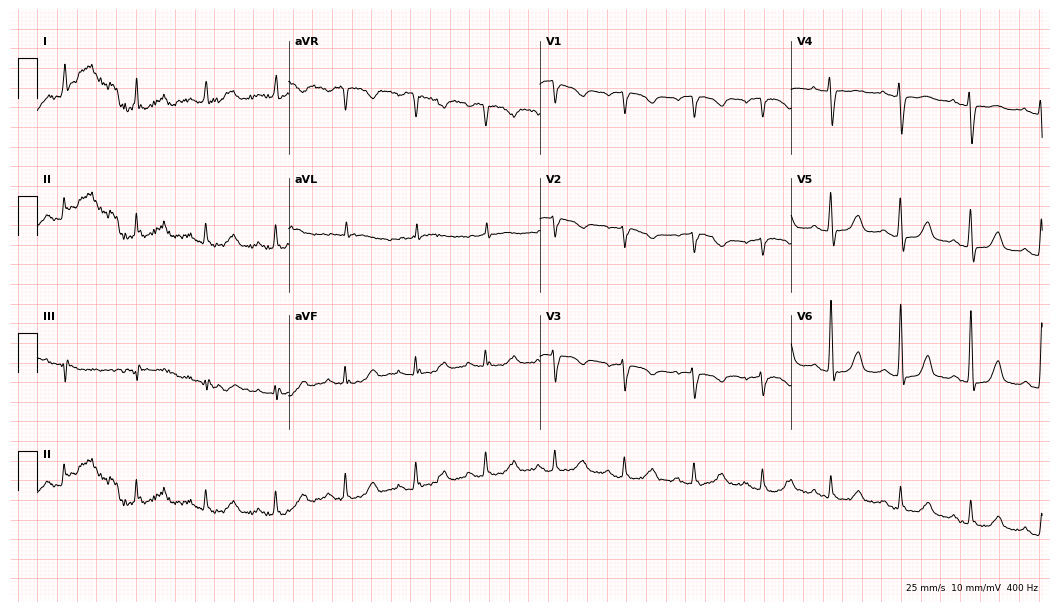
12-lead ECG from an 82-year-old female patient (10.2-second recording at 400 Hz). No first-degree AV block, right bundle branch block, left bundle branch block, sinus bradycardia, atrial fibrillation or sinus tachycardia recorded for this tracing. Findings outside these six are not listed.